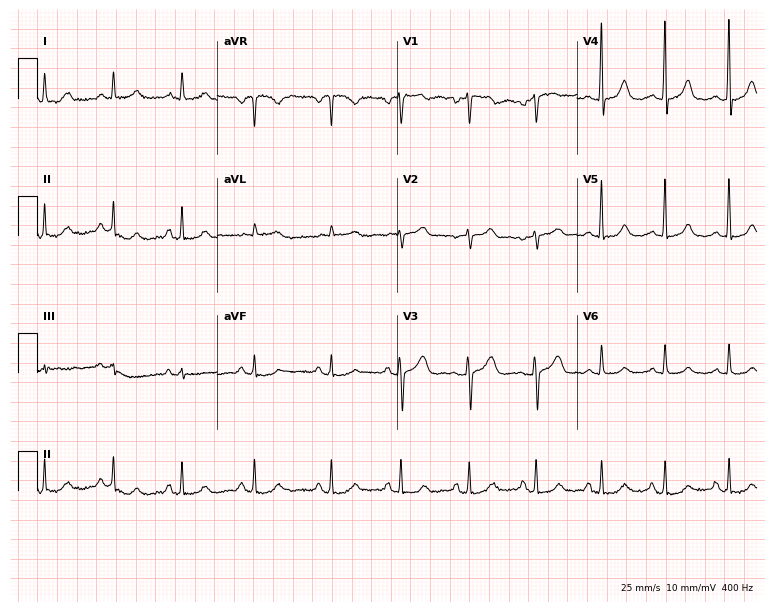
12-lead ECG from a female, 69 years old. Screened for six findings — first-degree AV block, right bundle branch block, left bundle branch block, sinus bradycardia, atrial fibrillation, sinus tachycardia — none is recorded.